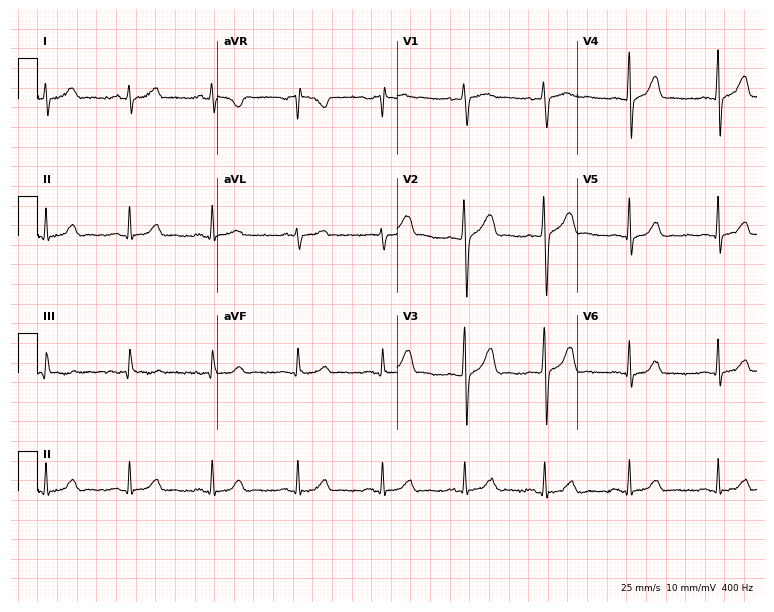
Standard 12-lead ECG recorded from a 23-year-old woman. None of these six findings is recorded: first-degree AV block, right bundle branch block (RBBB), left bundle branch block (LBBB), sinus bradycardia, atrial fibrillation (AF), sinus tachycardia. Findings outside these six are not listed.